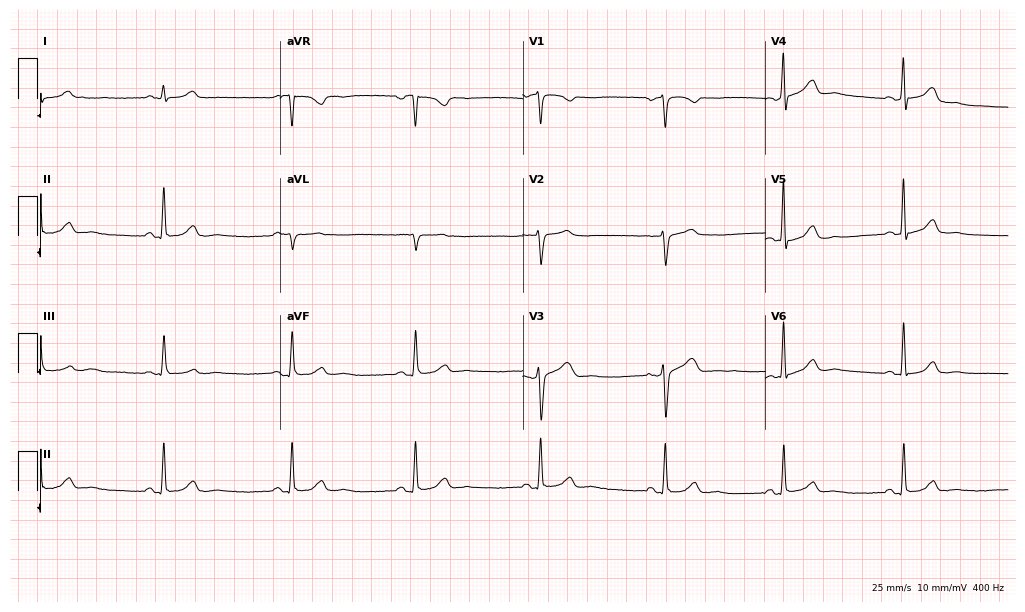
Standard 12-lead ECG recorded from a 53-year-old woman (9.9-second recording at 400 Hz). Read as a normal ECG.